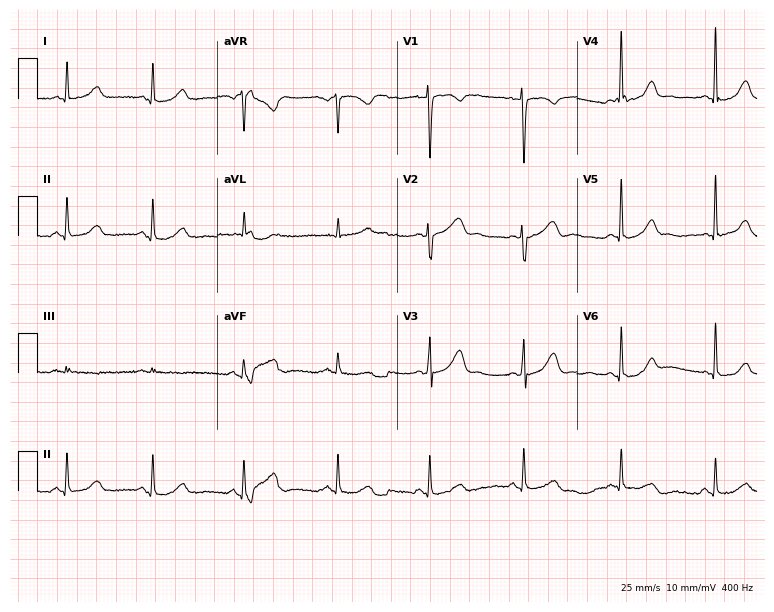
12-lead ECG (7.3-second recording at 400 Hz) from a 63-year-old female patient. Screened for six findings — first-degree AV block, right bundle branch block, left bundle branch block, sinus bradycardia, atrial fibrillation, sinus tachycardia — none is recorded.